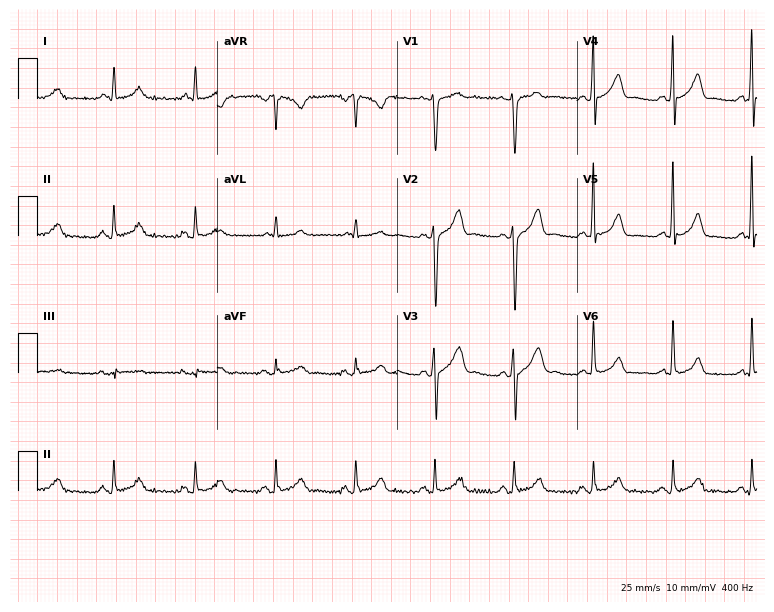
Standard 12-lead ECG recorded from a 56-year-old man (7.3-second recording at 400 Hz). Read as a normal ECG.